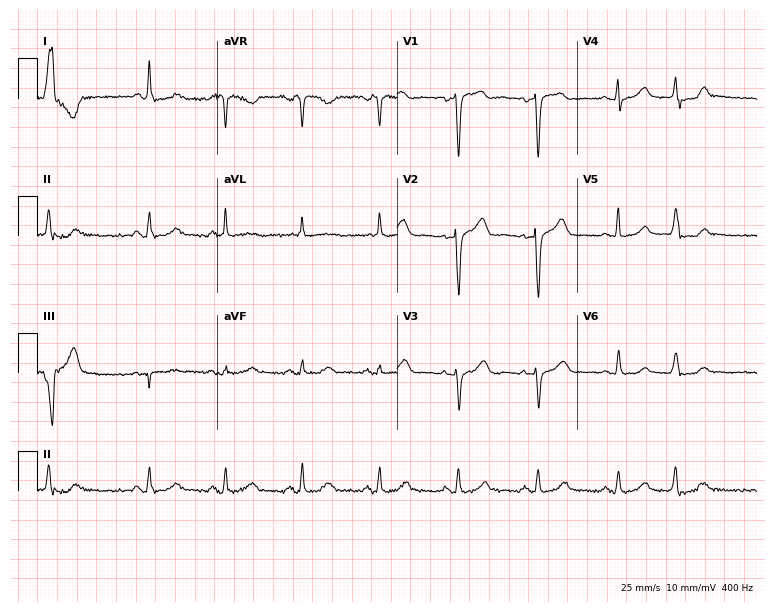
Electrocardiogram (7.3-second recording at 400 Hz), a female patient, 75 years old. Overall reading on record: normal ECG.